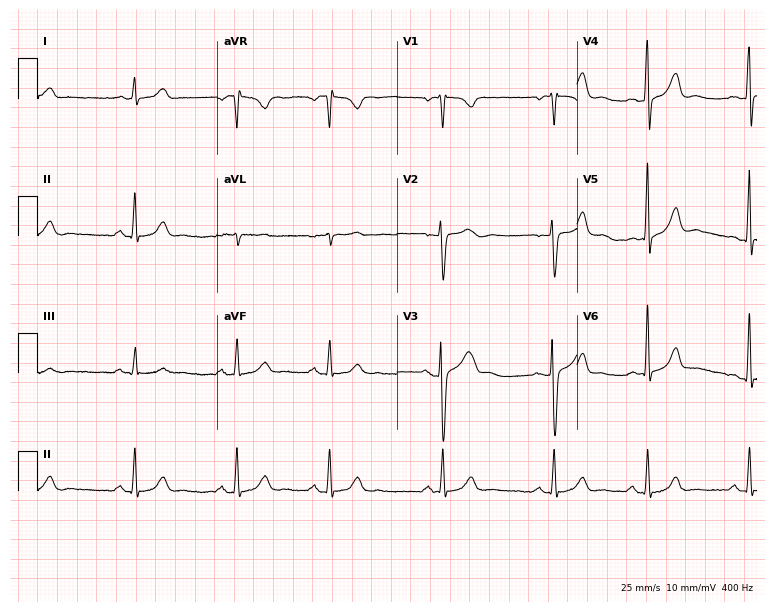
12-lead ECG (7.3-second recording at 400 Hz) from a 40-year-old female. Labelled as a normal ECG.